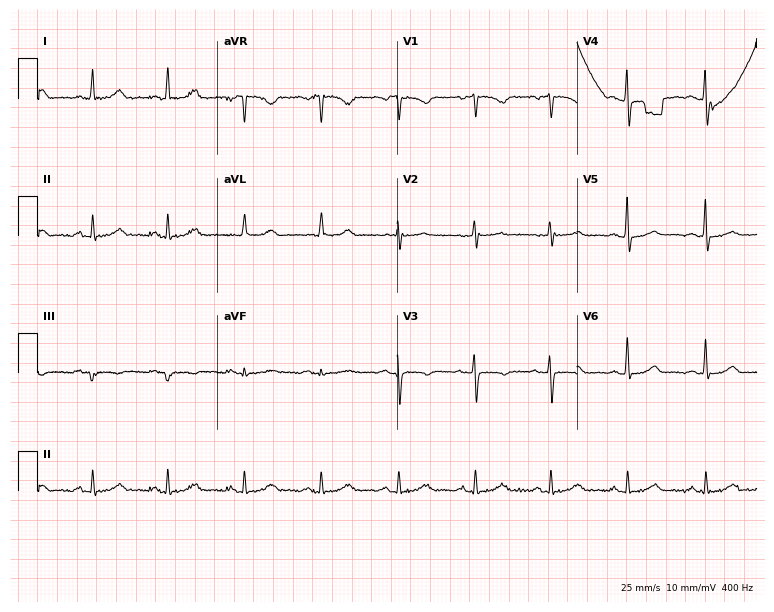
12-lead ECG from a 57-year-old woman. Recorded interpretation: within normal limits.